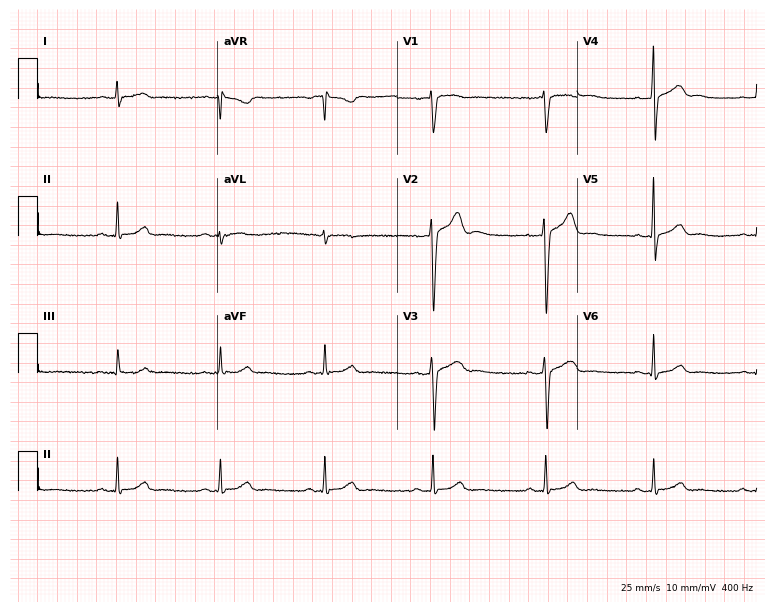
ECG — a 31-year-old male patient. Labelled as a normal ECG.